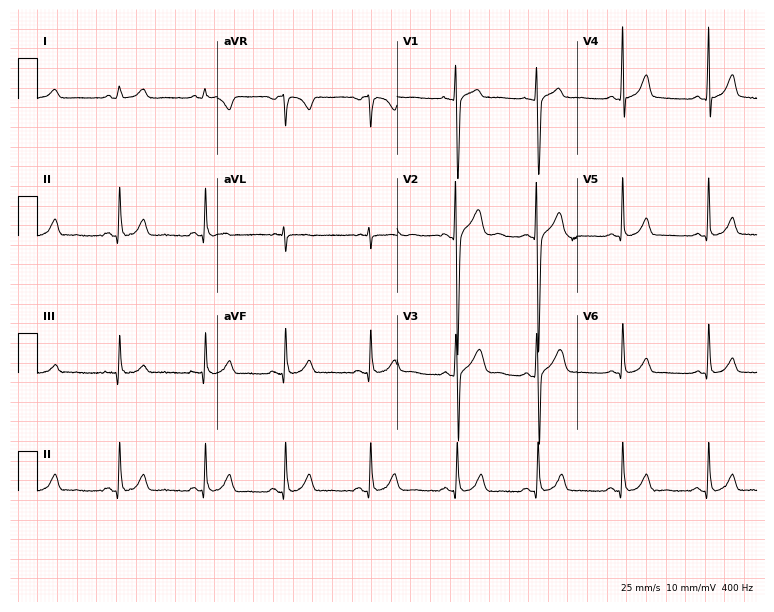
Standard 12-lead ECG recorded from a 25-year-old male. Read as a normal ECG.